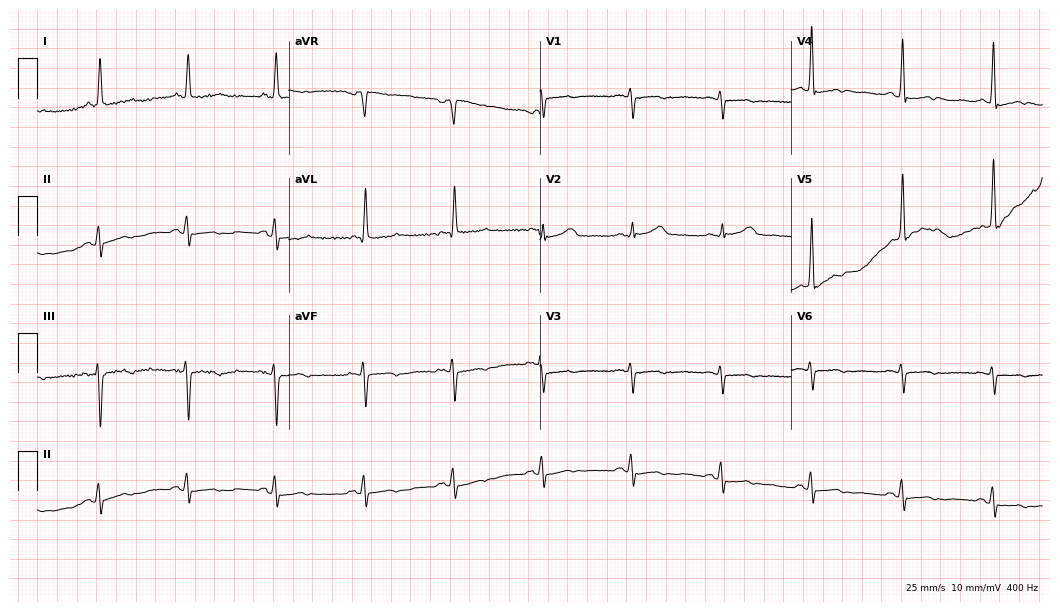
12-lead ECG (10.2-second recording at 400 Hz) from a male, 79 years old. Screened for six findings — first-degree AV block, right bundle branch block, left bundle branch block, sinus bradycardia, atrial fibrillation, sinus tachycardia — none is recorded.